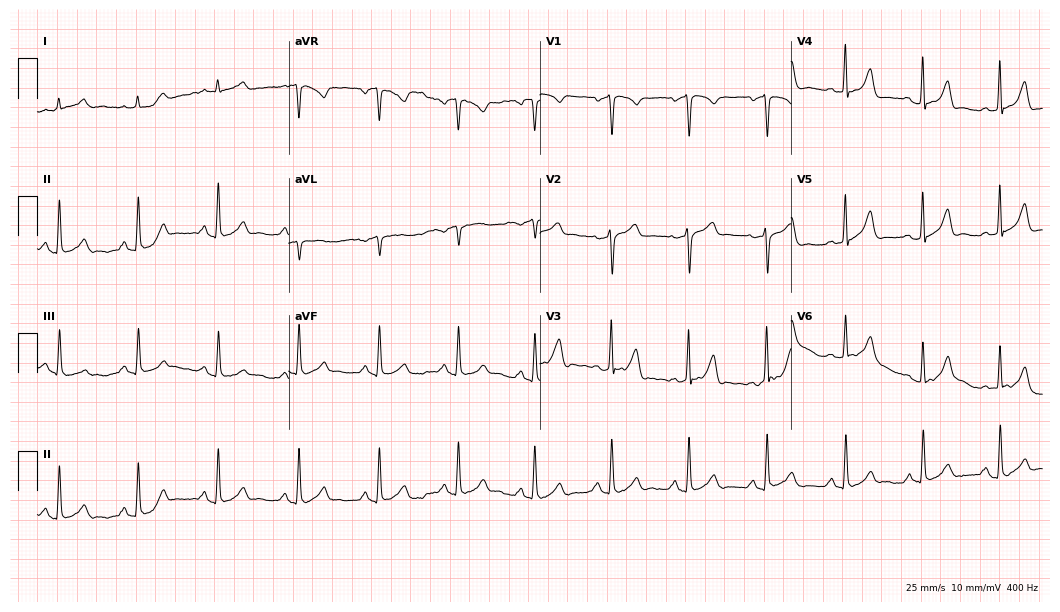
Resting 12-lead electrocardiogram (10.2-second recording at 400 Hz). Patient: a 59-year-old man. None of these six findings is recorded: first-degree AV block, right bundle branch block, left bundle branch block, sinus bradycardia, atrial fibrillation, sinus tachycardia.